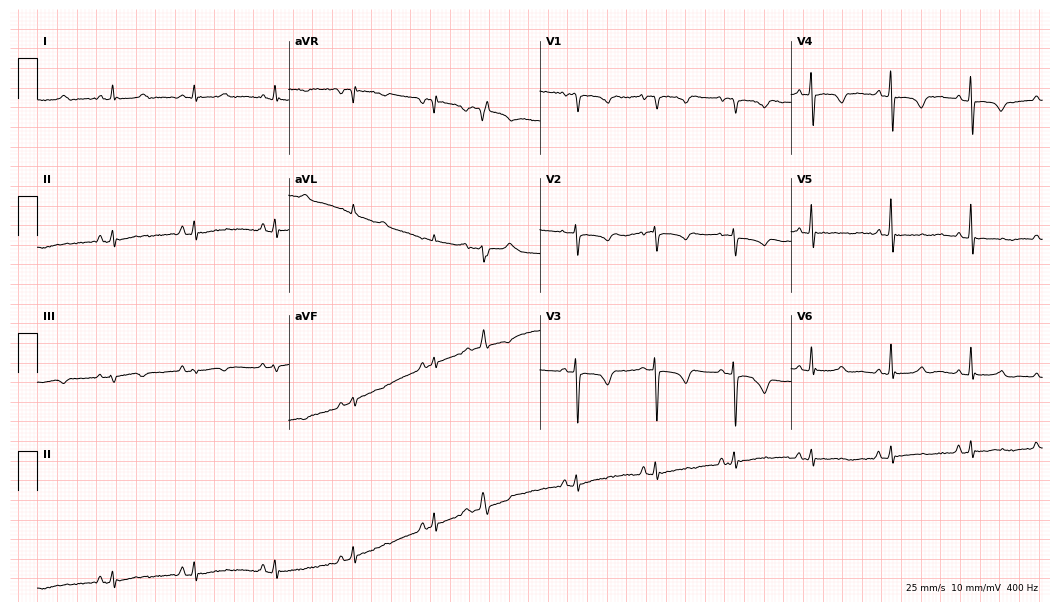
Resting 12-lead electrocardiogram. Patient: a female, 67 years old. None of these six findings is recorded: first-degree AV block, right bundle branch block, left bundle branch block, sinus bradycardia, atrial fibrillation, sinus tachycardia.